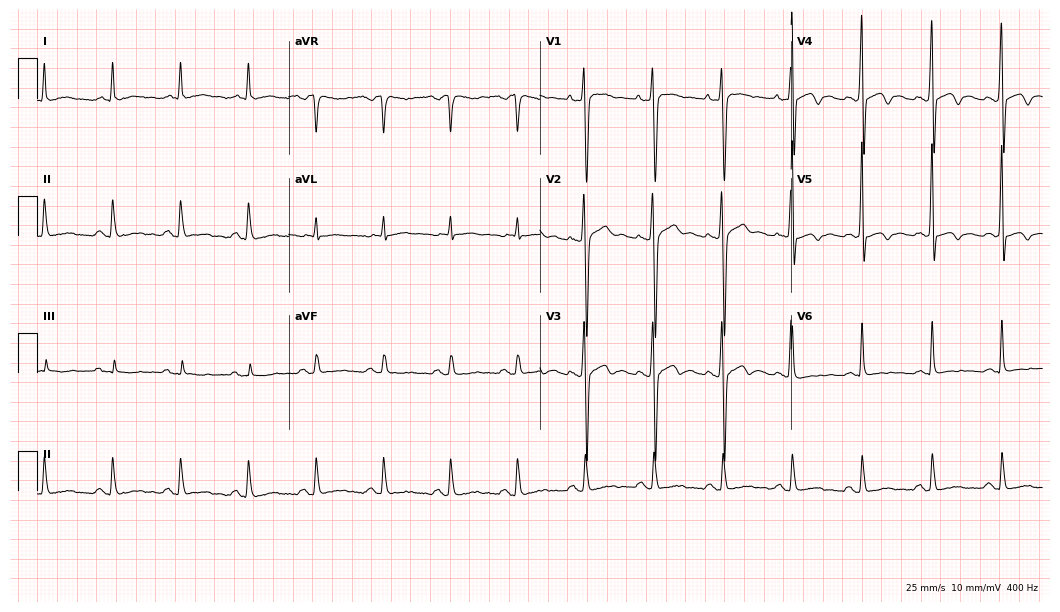
Electrocardiogram (10.2-second recording at 400 Hz), a 43-year-old male patient. Of the six screened findings (first-degree AV block, right bundle branch block, left bundle branch block, sinus bradycardia, atrial fibrillation, sinus tachycardia), none is recorded. Findings outside these six are not listed.